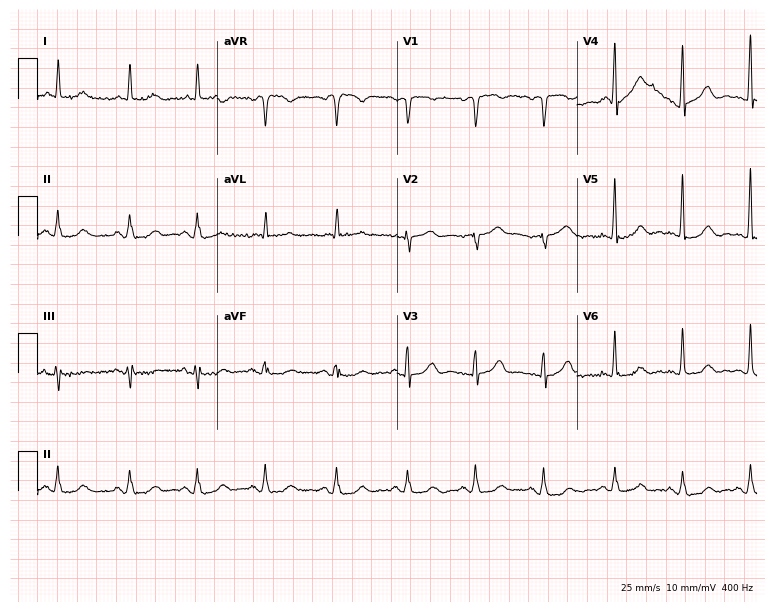
ECG (7.3-second recording at 400 Hz) — an 84-year-old male patient. Labelled as a normal ECG.